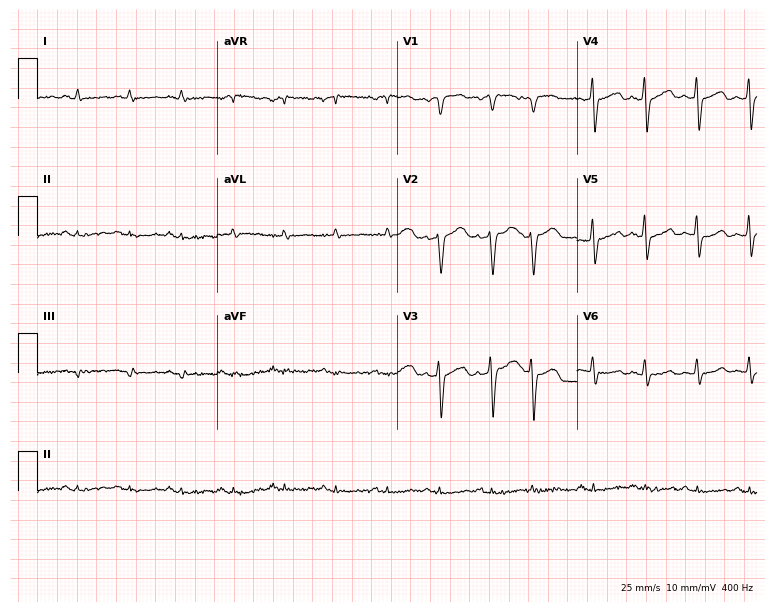
12-lead ECG from a 59-year-old male patient. Shows sinus tachycardia (a sinus rate of 100 beats per minute or more).